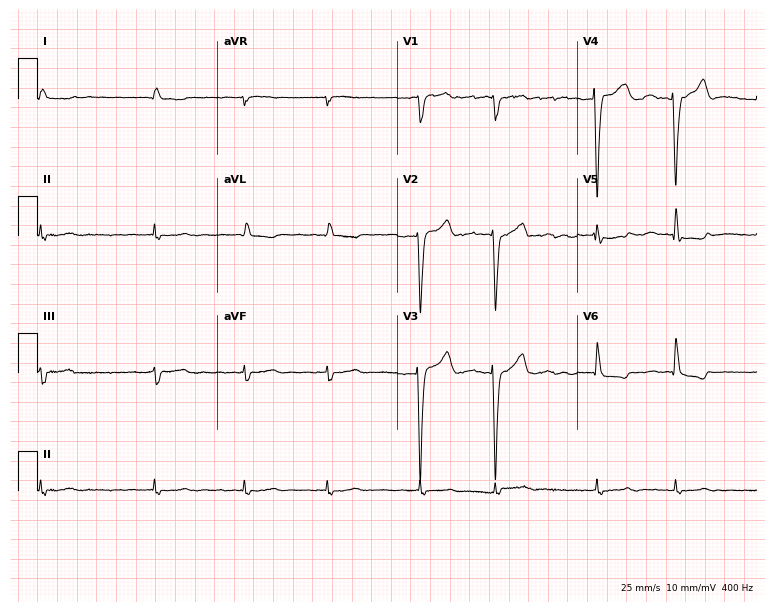
12-lead ECG (7.3-second recording at 400 Hz) from an 85-year-old male patient. Screened for six findings — first-degree AV block, right bundle branch block, left bundle branch block, sinus bradycardia, atrial fibrillation, sinus tachycardia — none is recorded.